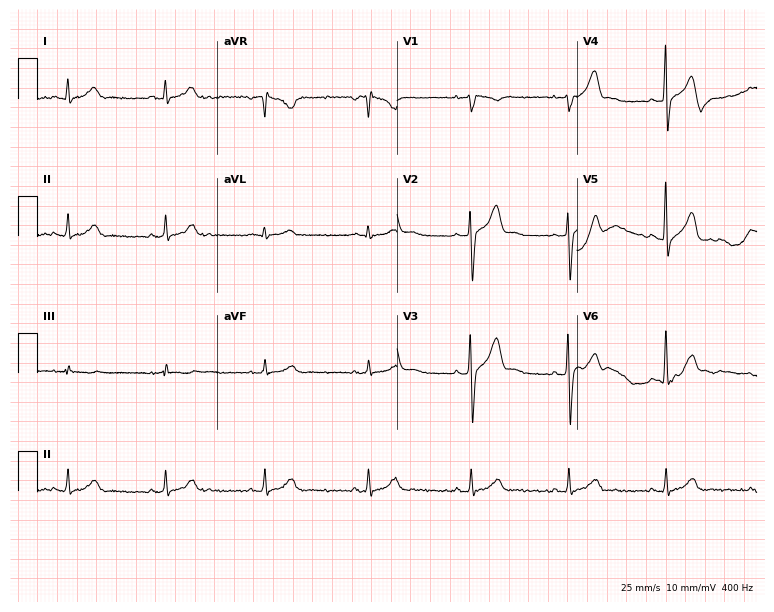
Standard 12-lead ECG recorded from a male patient, 77 years old. Read as a normal ECG.